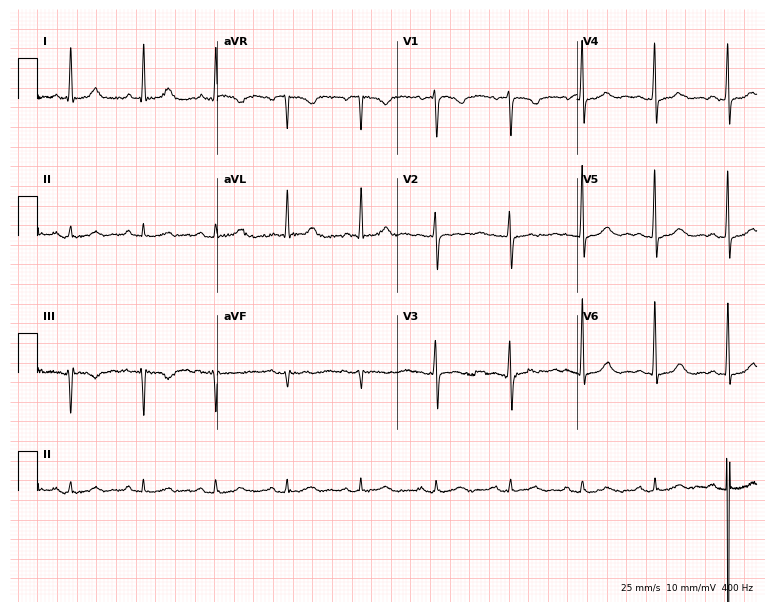
12-lead ECG from a female patient, 56 years old (7.3-second recording at 400 Hz). Recorded interpretation: within normal limits.